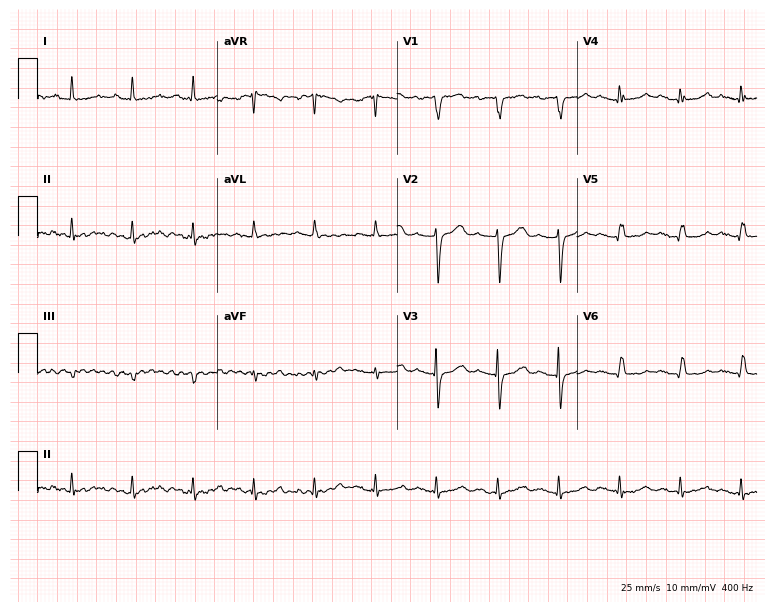
Electrocardiogram, a female patient, 73 years old. Of the six screened findings (first-degree AV block, right bundle branch block, left bundle branch block, sinus bradycardia, atrial fibrillation, sinus tachycardia), none is recorded.